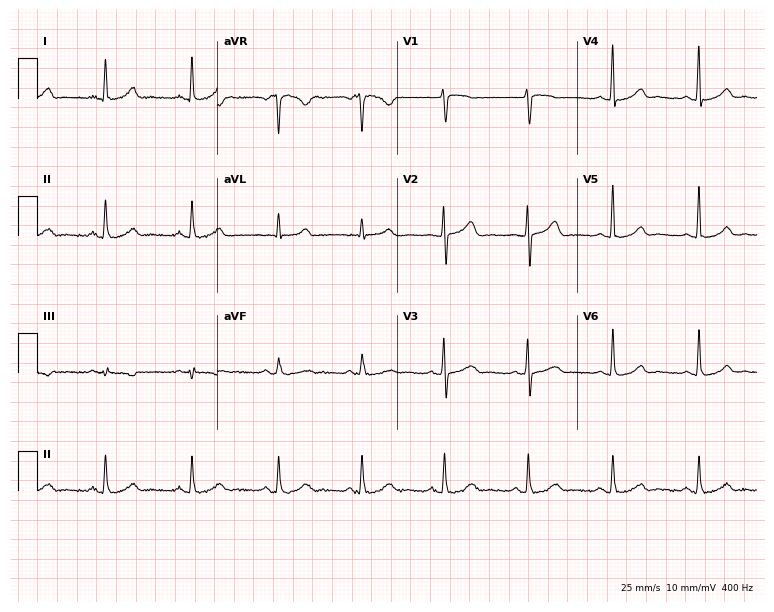
ECG — a female patient, 43 years old. Labelled as a normal ECG.